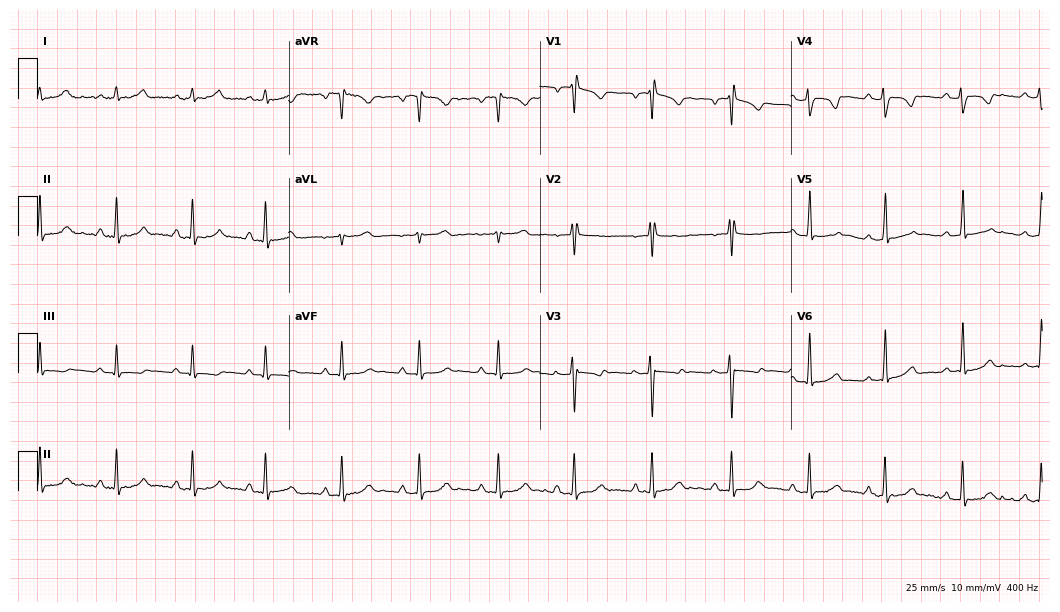
ECG — a female, 18 years old. Screened for six findings — first-degree AV block, right bundle branch block, left bundle branch block, sinus bradycardia, atrial fibrillation, sinus tachycardia — none is recorded. Other findings, if any, are not listed.